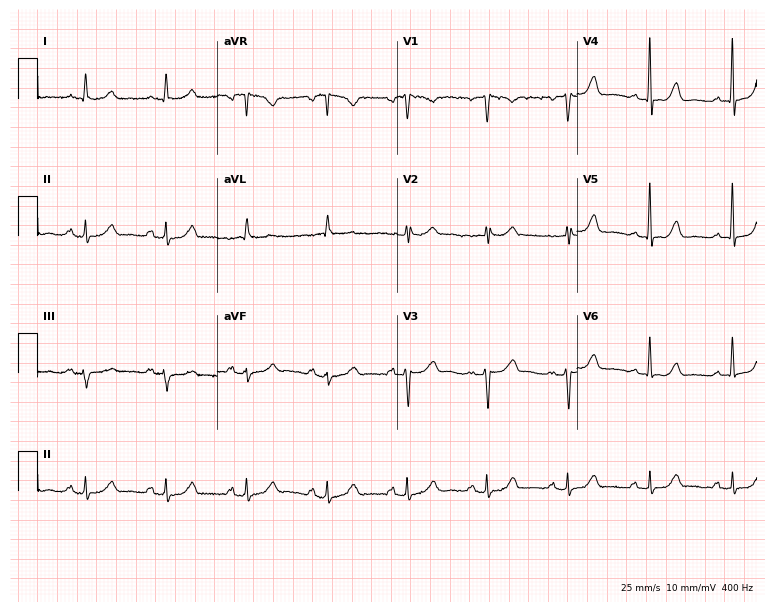
12-lead ECG from a female, 62 years old (7.3-second recording at 400 Hz). No first-degree AV block, right bundle branch block, left bundle branch block, sinus bradycardia, atrial fibrillation or sinus tachycardia recorded for this tracing.